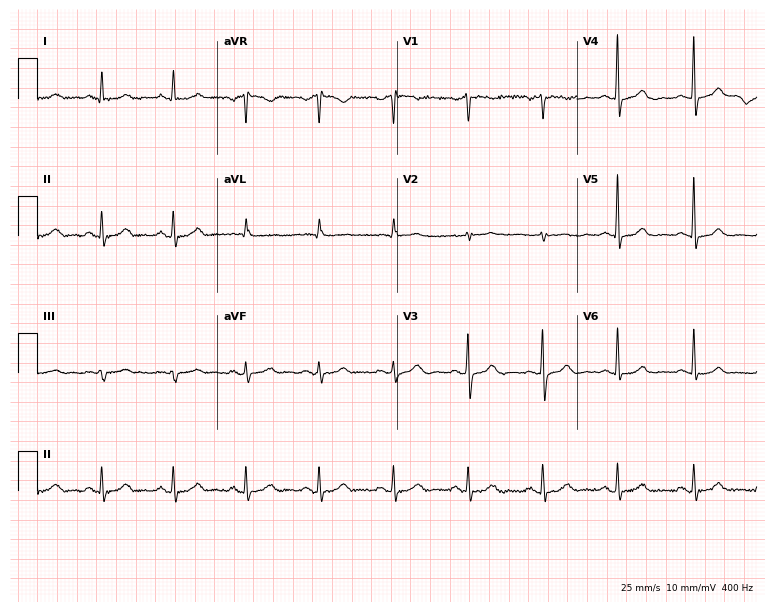
12-lead ECG from a woman, 62 years old (7.3-second recording at 400 Hz). Recorded interpretation: within normal limits.